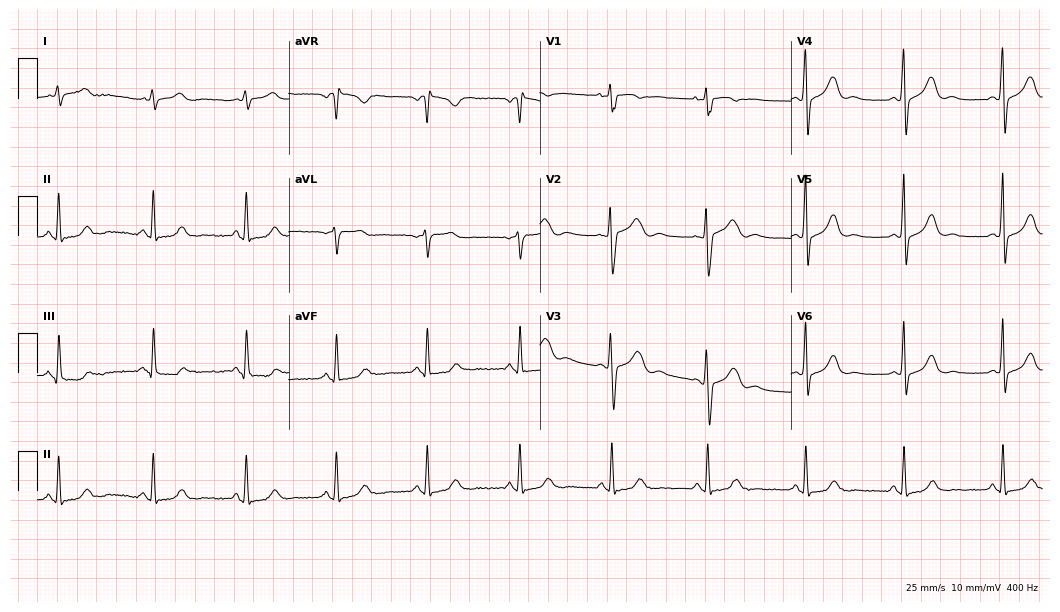
Electrocardiogram, a woman, 44 years old. Overall reading on record: normal ECG.